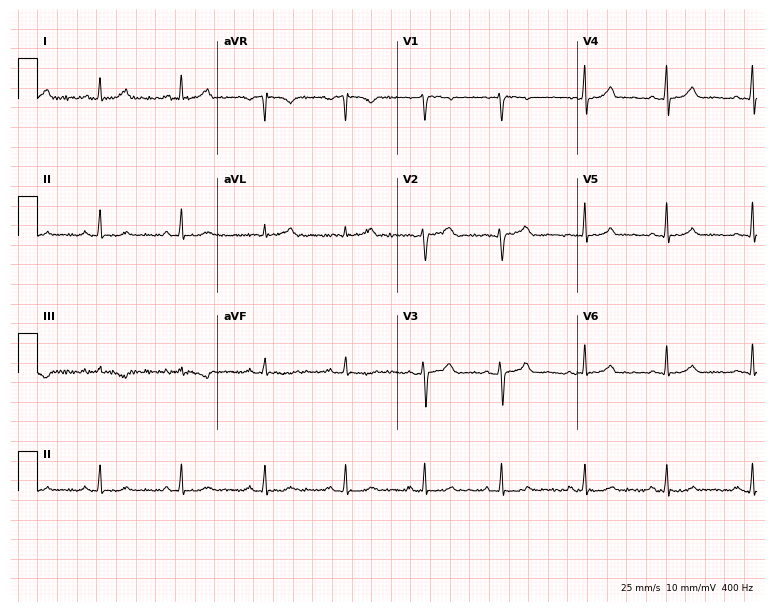
Resting 12-lead electrocardiogram (7.3-second recording at 400 Hz). Patient: a 40-year-old female. Read as a normal ECG.